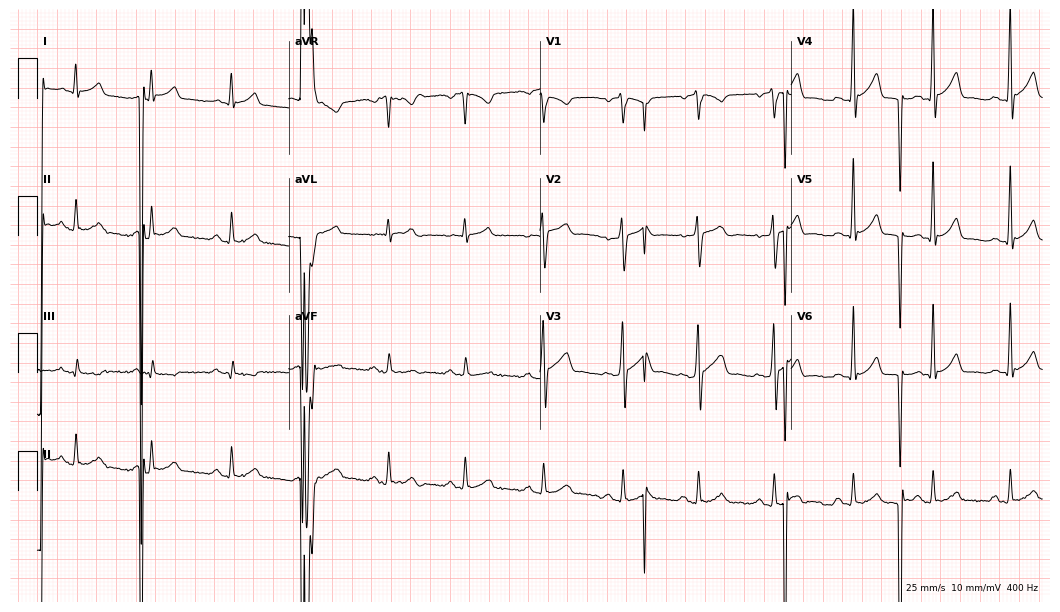
Resting 12-lead electrocardiogram. Patient: a man, 30 years old. None of these six findings is recorded: first-degree AV block, right bundle branch block (RBBB), left bundle branch block (LBBB), sinus bradycardia, atrial fibrillation (AF), sinus tachycardia.